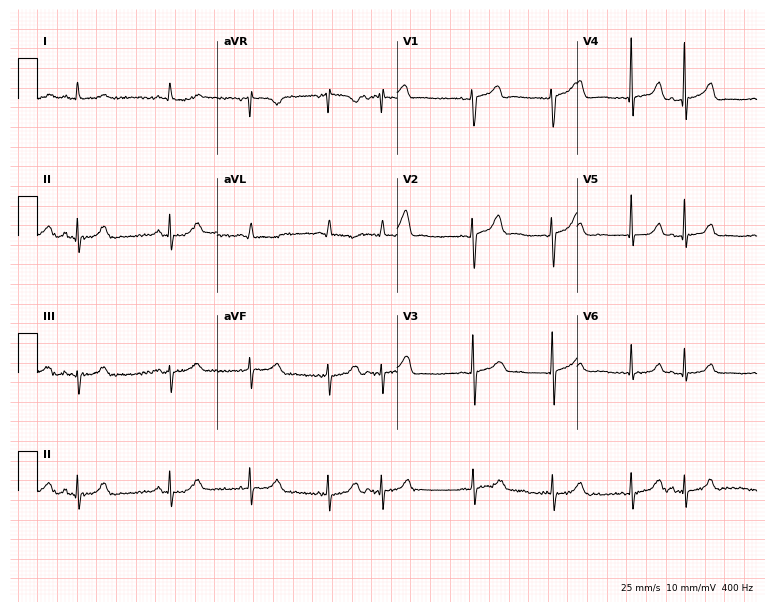
12-lead ECG from a 74-year-old female patient. No first-degree AV block, right bundle branch block, left bundle branch block, sinus bradycardia, atrial fibrillation or sinus tachycardia recorded for this tracing.